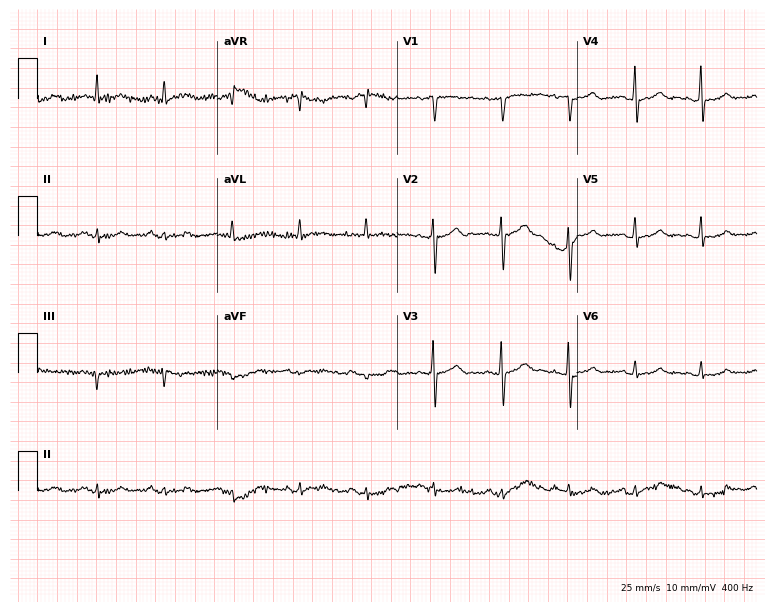
ECG — an 84-year-old man. Screened for six findings — first-degree AV block, right bundle branch block (RBBB), left bundle branch block (LBBB), sinus bradycardia, atrial fibrillation (AF), sinus tachycardia — none is recorded. Findings outside these six are not listed.